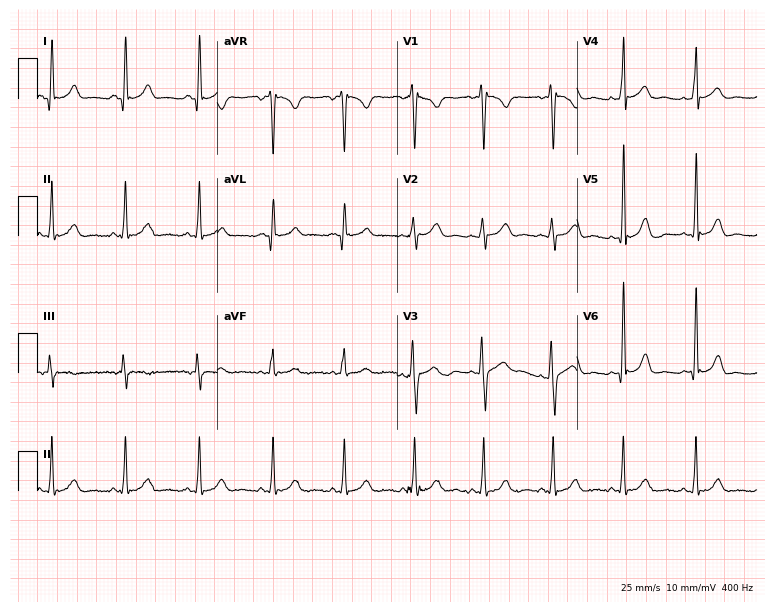
12-lead ECG from a 25-year-old woman. No first-degree AV block, right bundle branch block, left bundle branch block, sinus bradycardia, atrial fibrillation or sinus tachycardia recorded for this tracing. Only these six findings were labelled.